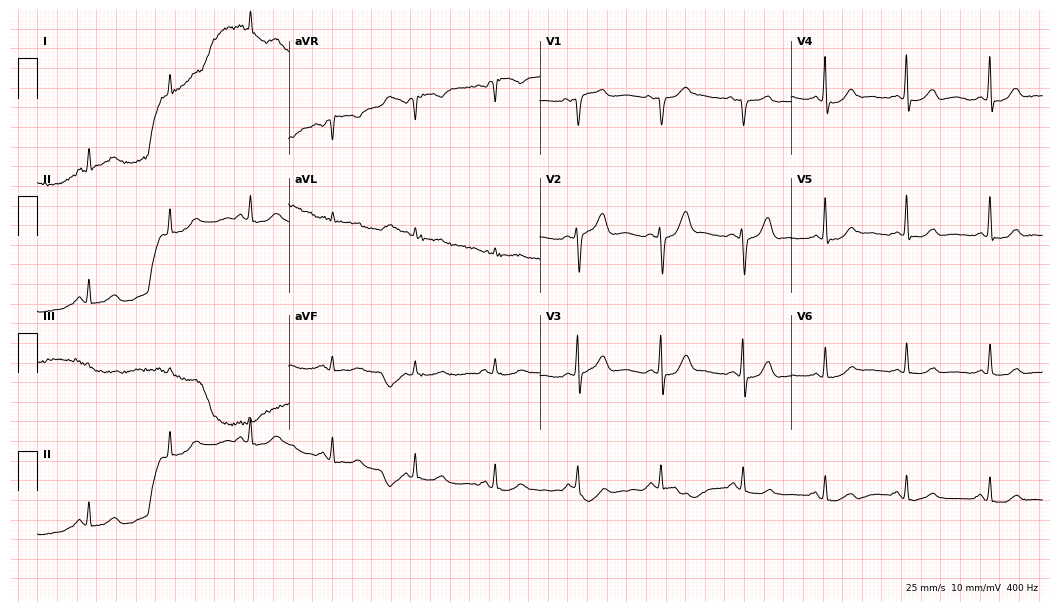
Resting 12-lead electrocardiogram (10.2-second recording at 400 Hz). Patient: a man, 47 years old. Read as a normal ECG.